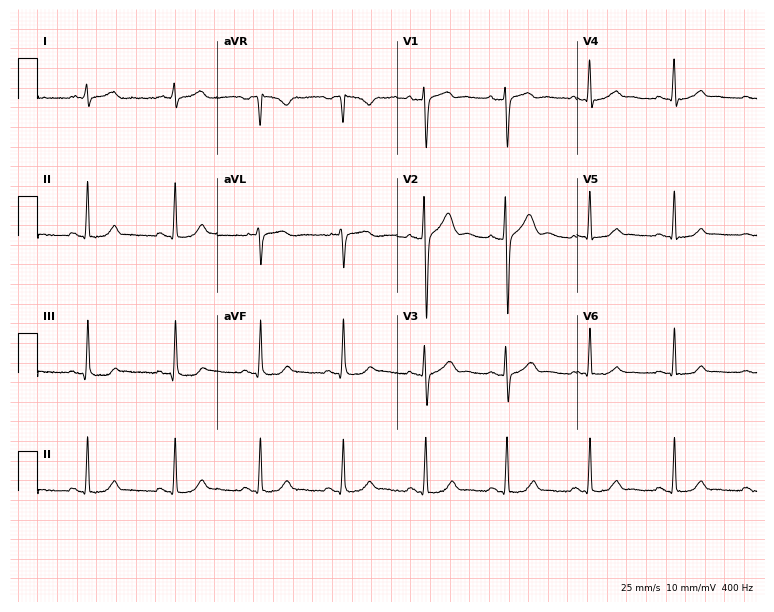
Electrocardiogram, a male patient, 49 years old. Overall reading on record: normal ECG.